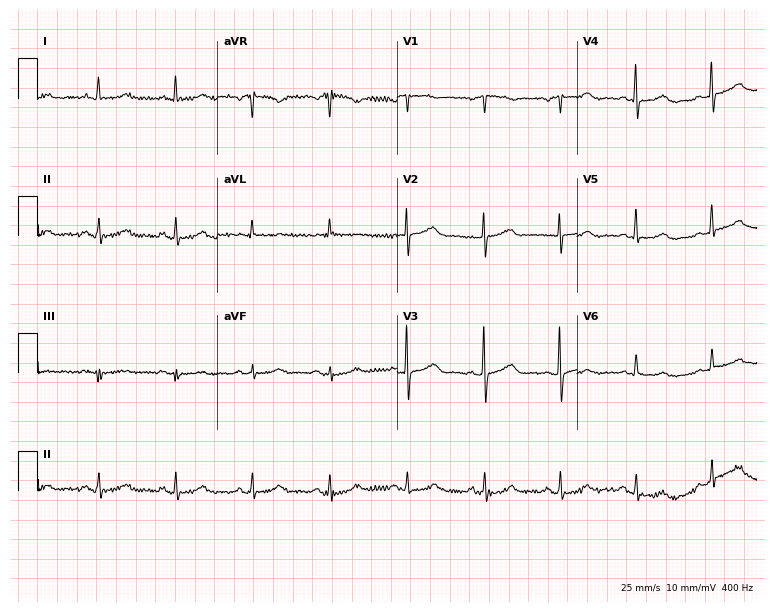
Standard 12-lead ECG recorded from a female, 61 years old. None of these six findings is recorded: first-degree AV block, right bundle branch block, left bundle branch block, sinus bradycardia, atrial fibrillation, sinus tachycardia.